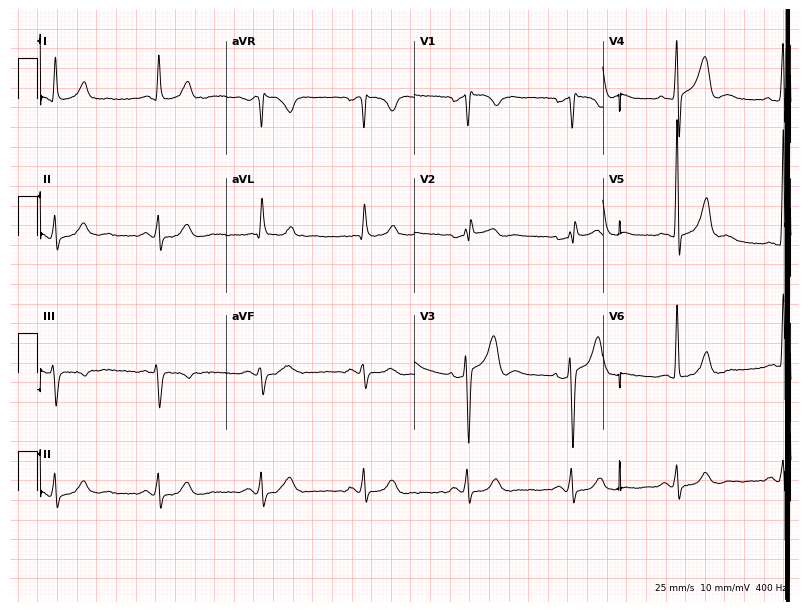
Standard 12-lead ECG recorded from a man, 60 years old. The tracing shows right bundle branch block (RBBB).